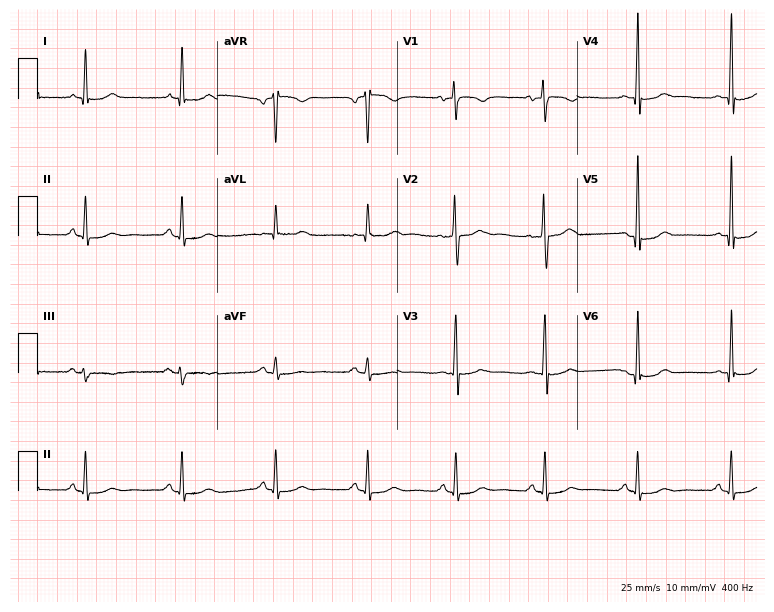
Standard 12-lead ECG recorded from a woman, 55 years old (7.3-second recording at 400 Hz). None of these six findings is recorded: first-degree AV block, right bundle branch block (RBBB), left bundle branch block (LBBB), sinus bradycardia, atrial fibrillation (AF), sinus tachycardia.